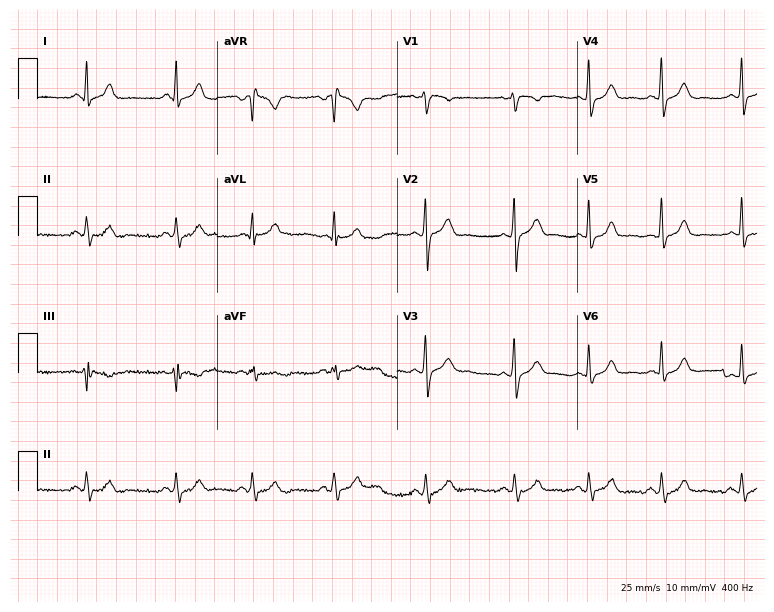
Standard 12-lead ECG recorded from a 21-year-old man. Read as a normal ECG.